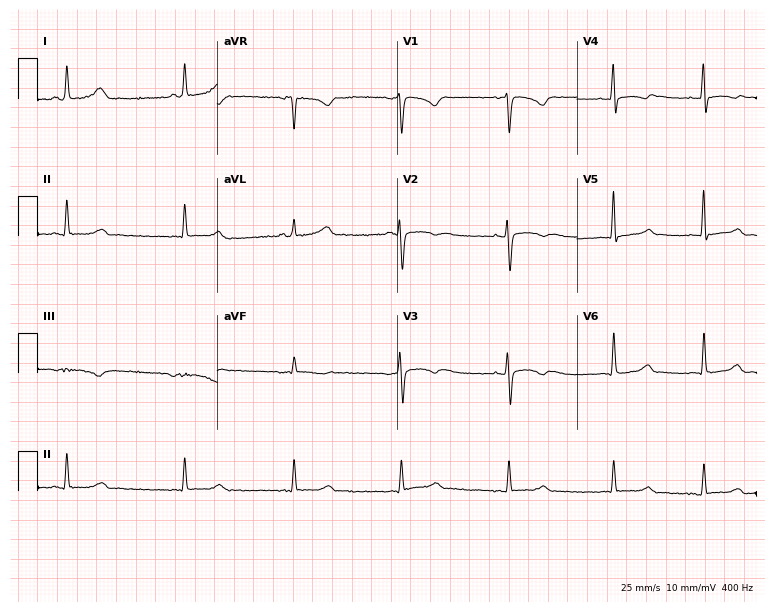
Standard 12-lead ECG recorded from a female, 33 years old (7.3-second recording at 400 Hz). None of these six findings is recorded: first-degree AV block, right bundle branch block, left bundle branch block, sinus bradycardia, atrial fibrillation, sinus tachycardia. Findings outside these six are not listed.